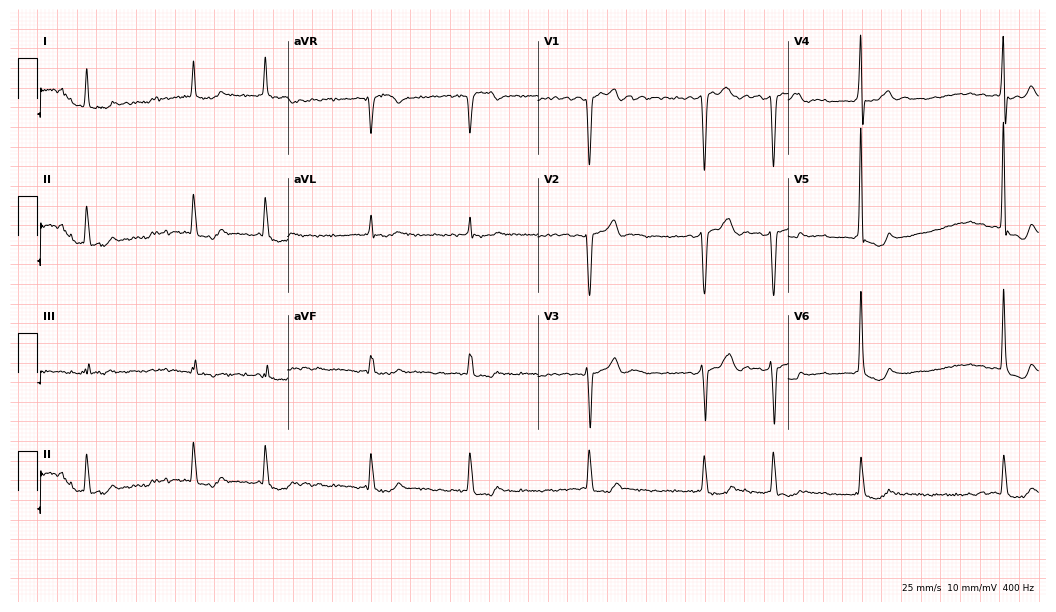
12-lead ECG from a male patient, 73 years old. Findings include atrial fibrillation.